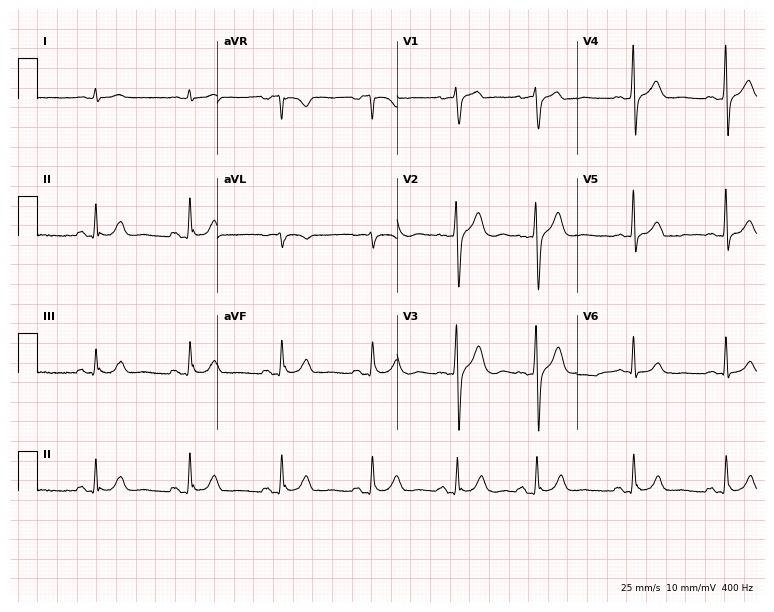
ECG (7.3-second recording at 400 Hz) — a 38-year-old man. Screened for six findings — first-degree AV block, right bundle branch block, left bundle branch block, sinus bradycardia, atrial fibrillation, sinus tachycardia — none is recorded.